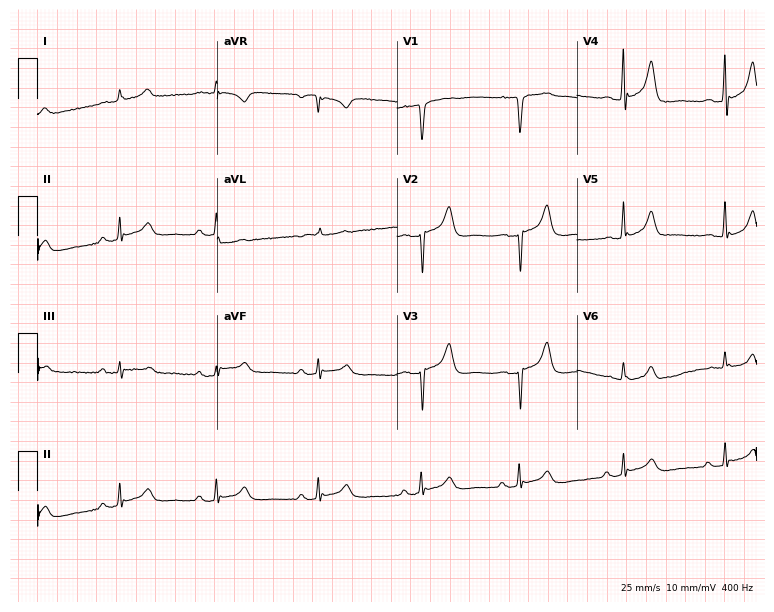
Standard 12-lead ECG recorded from a 54-year-old male patient (7.3-second recording at 400 Hz). None of these six findings is recorded: first-degree AV block, right bundle branch block, left bundle branch block, sinus bradycardia, atrial fibrillation, sinus tachycardia. Other findings, if any, are not listed.